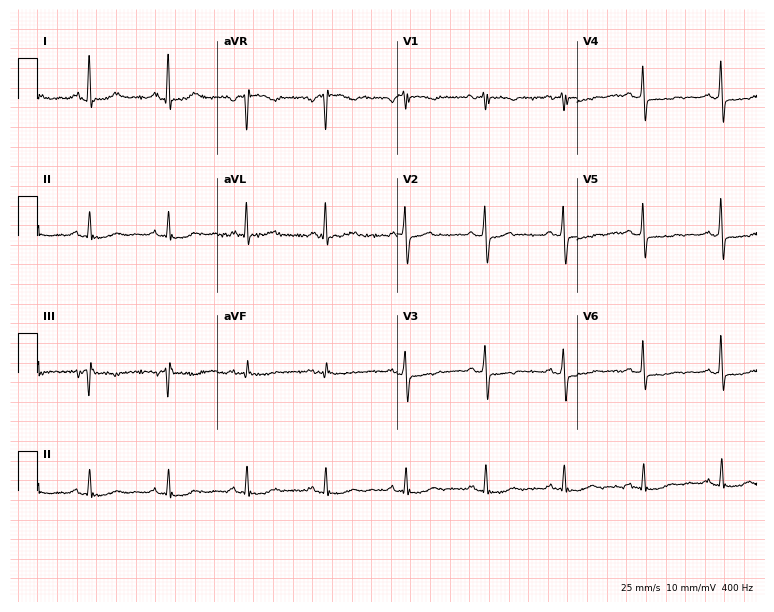
Standard 12-lead ECG recorded from a 58-year-old woman (7.3-second recording at 400 Hz). None of these six findings is recorded: first-degree AV block, right bundle branch block (RBBB), left bundle branch block (LBBB), sinus bradycardia, atrial fibrillation (AF), sinus tachycardia. Other findings, if any, are not listed.